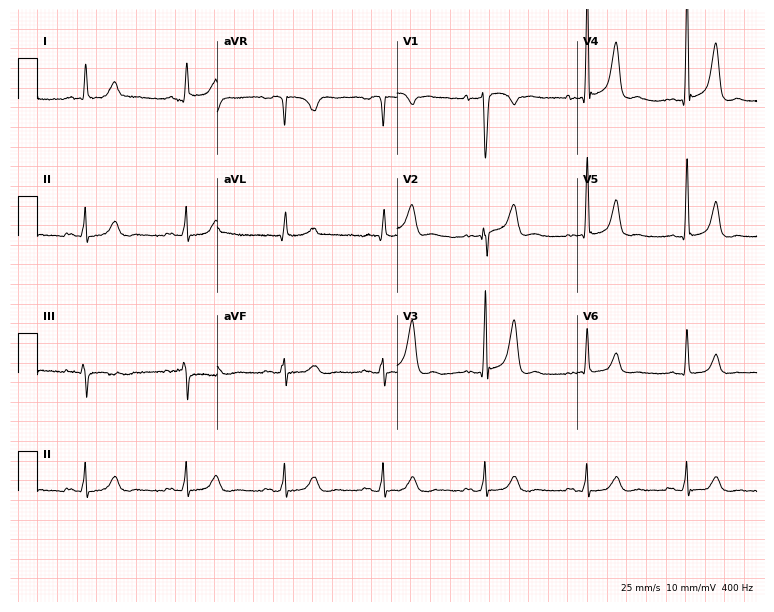
Electrocardiogram, a 39-year-old man. Of the six screened findings (first-degree AV block, right bundle branch block, left bundle branch block, sinus bradycardia, atrial fibrillation, sinus tachycardia), none is recorded.